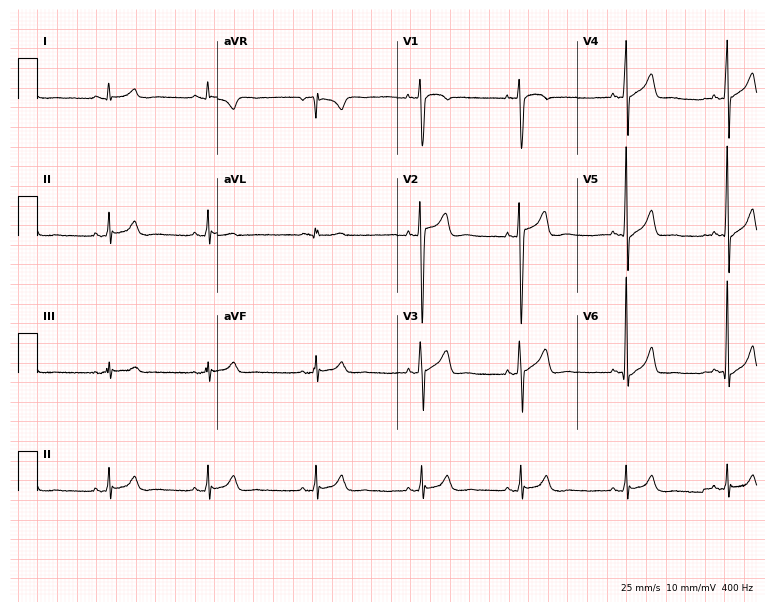
Resting 12-lead electrocardiogram (7.3-second recording at 400 Hz). Patient: a 19-year-old man. None of these six findings is recorded: first-degree AV block, right bundle branch block, left bundle branch block, sinus bradycardia, atrial fibrillation, sinus tachycardia.